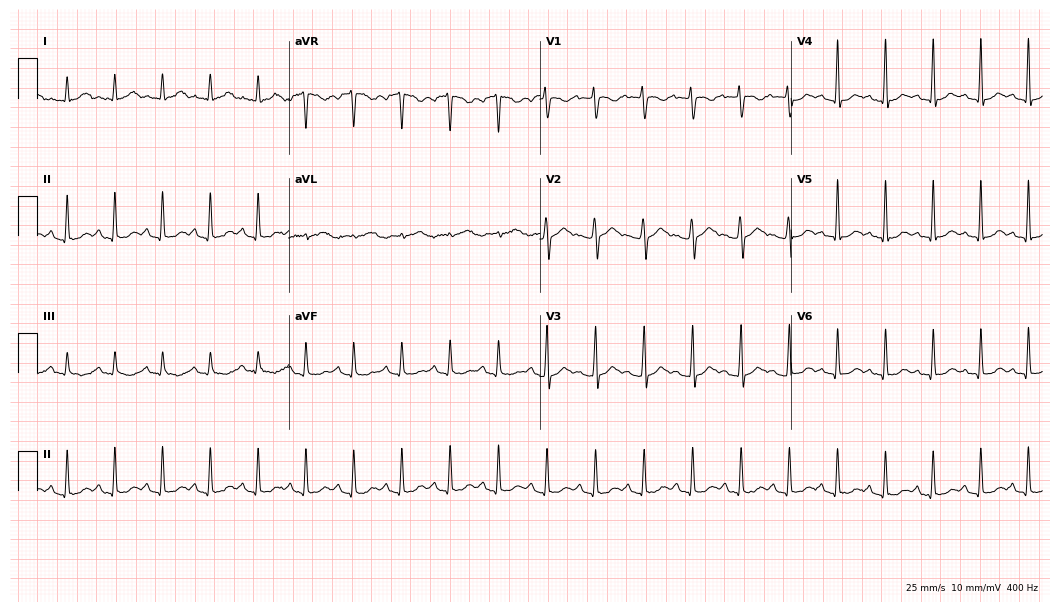
12-lead ECG from a female patient, 38 years old (10.2-second recording at 400 Hz). Shows sinus tachycardia (a sinus rate of 100 beats per minute or more).